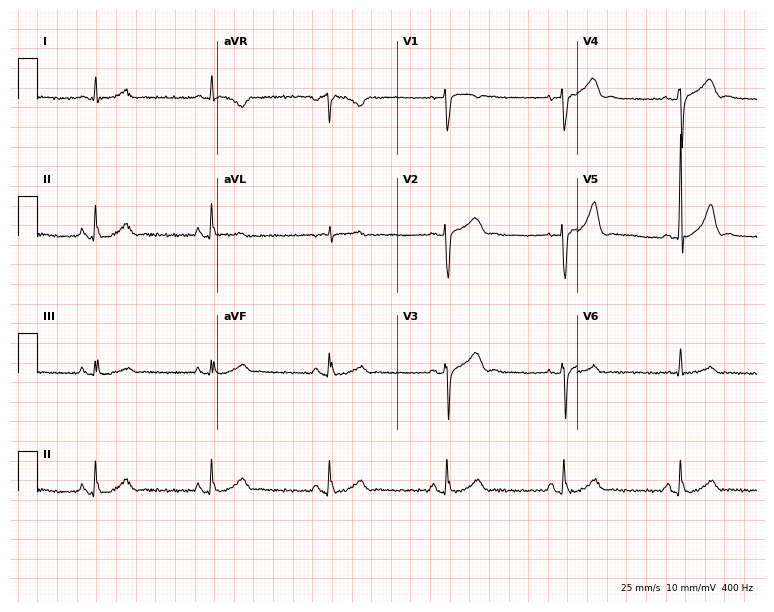
Electrocardiogram (7.3-second recording at 400 Hz), a 55-year-old male. Overall reading on record: normal ECG.